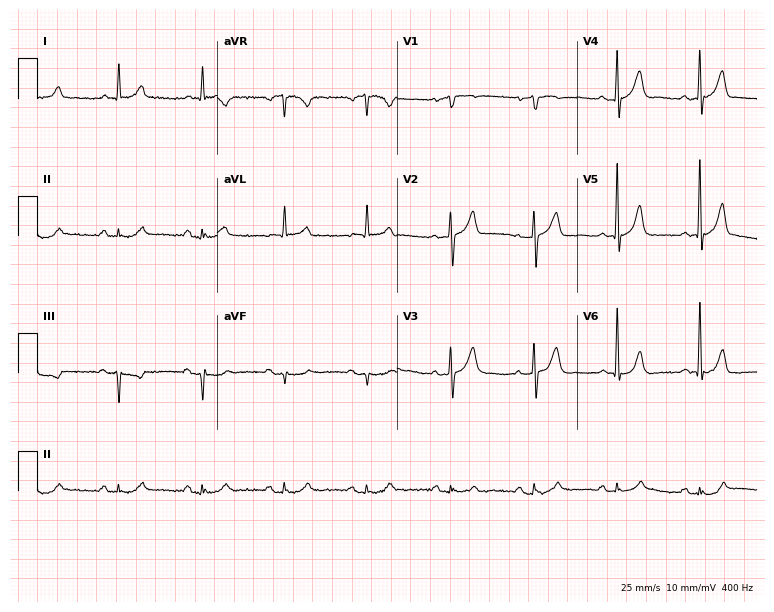
Standard 12-lead ECG recorded from a 75-year-old male patient. None of these six findings is recorded: first-degree AV block, right bundle branch block, left bundle branch block, sinus bradycardia, atrial fibrillation, sinus tachycardia. Other findings, if any, are not listed.